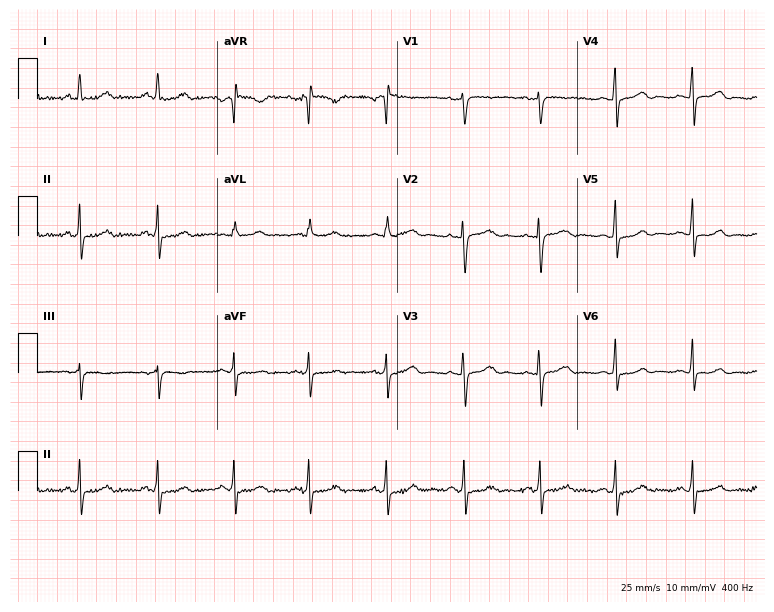
Standard 12-lead ECG recorded from a 47-year-old woman. Read as a normal ECG.